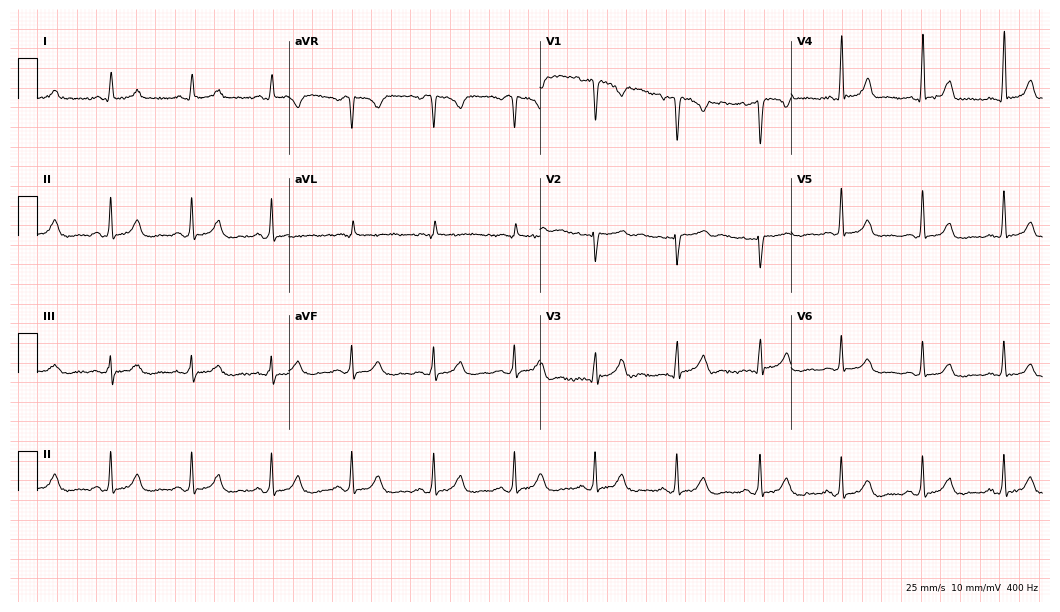
Electrocardiogram, a woman, 41 years old. Of the six screened findings (first-degree AV block, right bundle branch block (RBBB), left bundle branch block (LBBB), sinus bradycardia, atrial fibrillation (AF), sinus tachycardia), none is recorded.